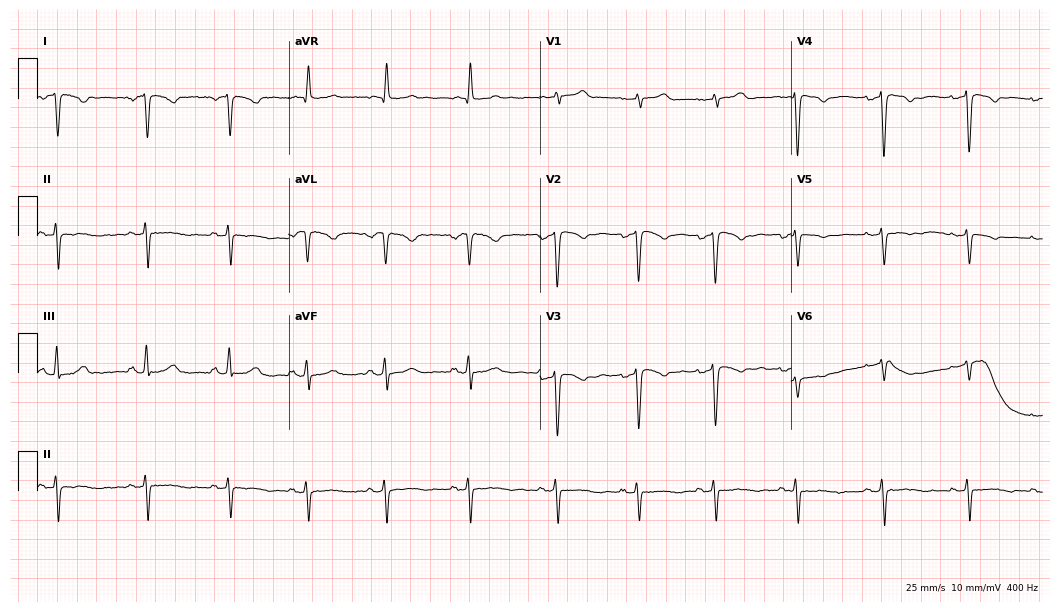
Electrocardiogram, a 41-year-old woman. Of the six screened findings (first-degree AV block, right bundle branch block, left bundle branch block, sinus bradycardia, atrial fibrillation, sinus tachycardia), none is recorded. Findings outside these six are not listed.